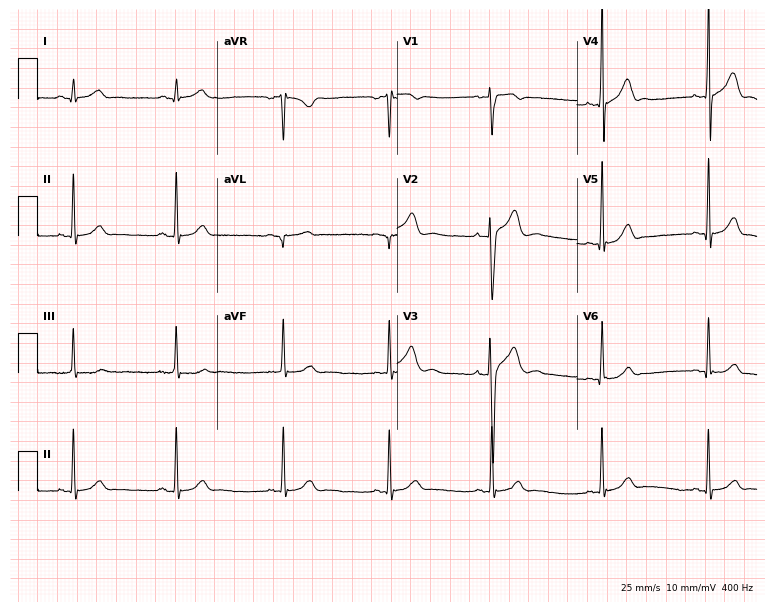
Standard 12-lead ECG recorded from a 20-year-old man (7.3-second recording at 400 Hz). Read as a normal ECG.